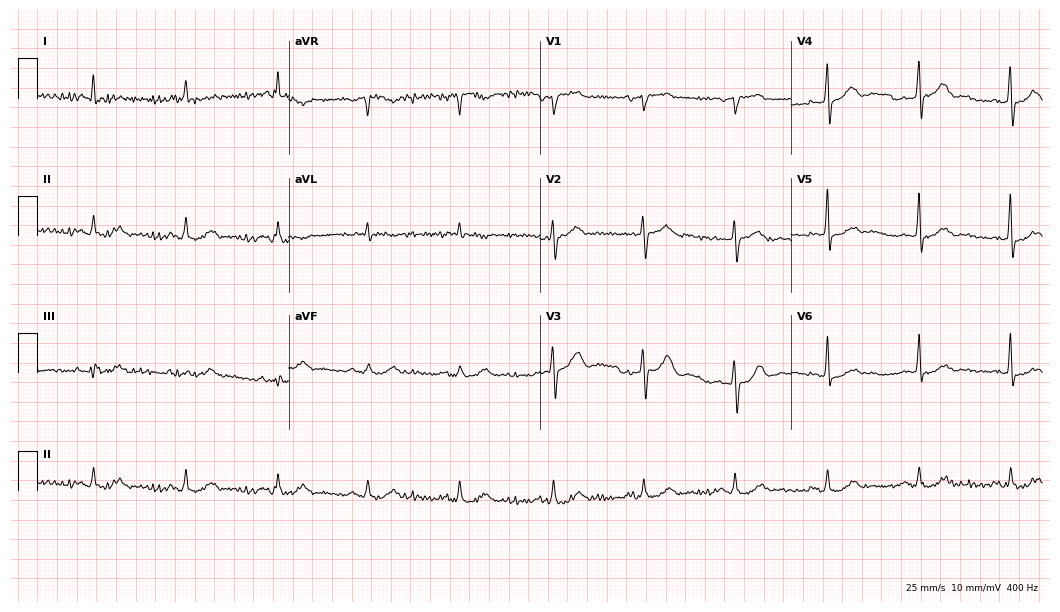
Standard 12-lead ECG recorded from a male, 80 years old. Read as a normal ECG.